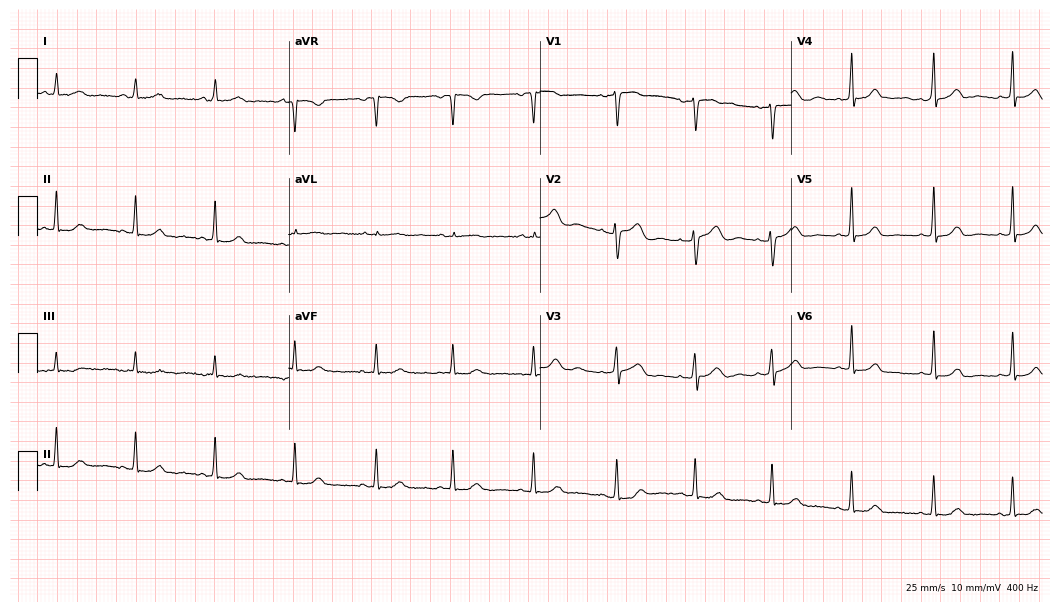
Standard 12-lead ECG recorded from a 43-year-old female patient. None of these six findings is recorded: first-degree AV block, right bundle branch block, left bundle branch block, sinus bradycardia, atrial fibrillation, sinus tachycardia.